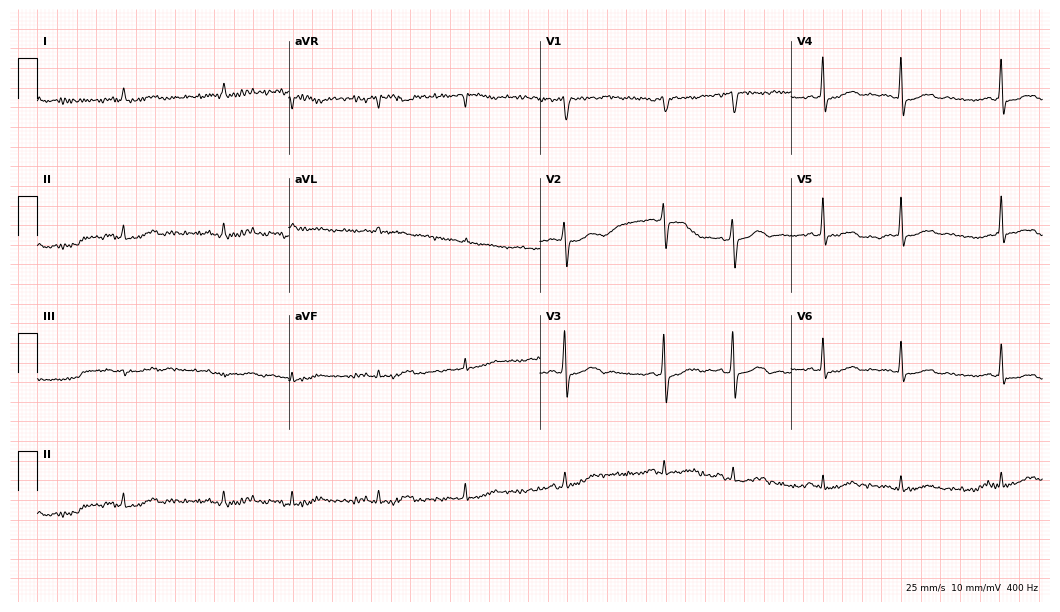
Electrocardiogram, a male patient, 82 years old. Of the six screened findings (first-degree AV block, right bundle branch block, left bundle branch block, sinus bradycardia, atrial fibrillation, sinus tachycardia), none is recorded.